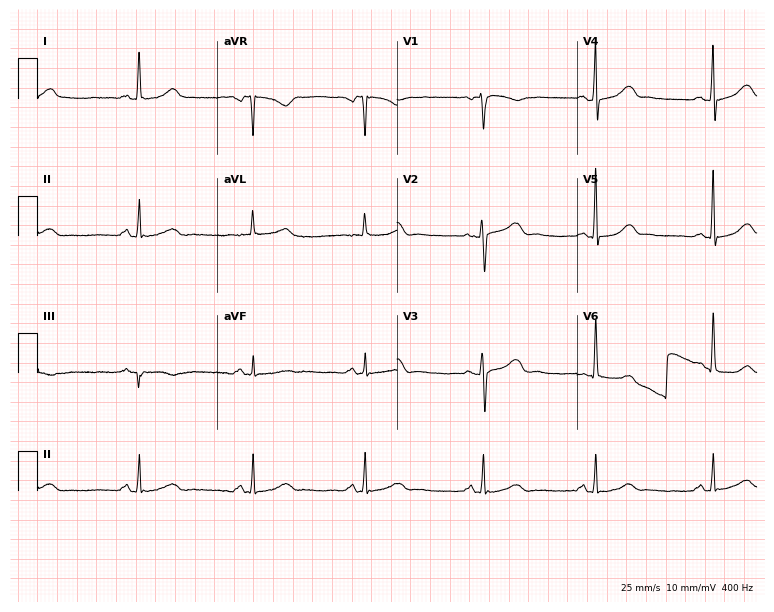
Resting 12-lead electrocardiogram. Patient: a 61-year-old female. Read as a normal ECG.